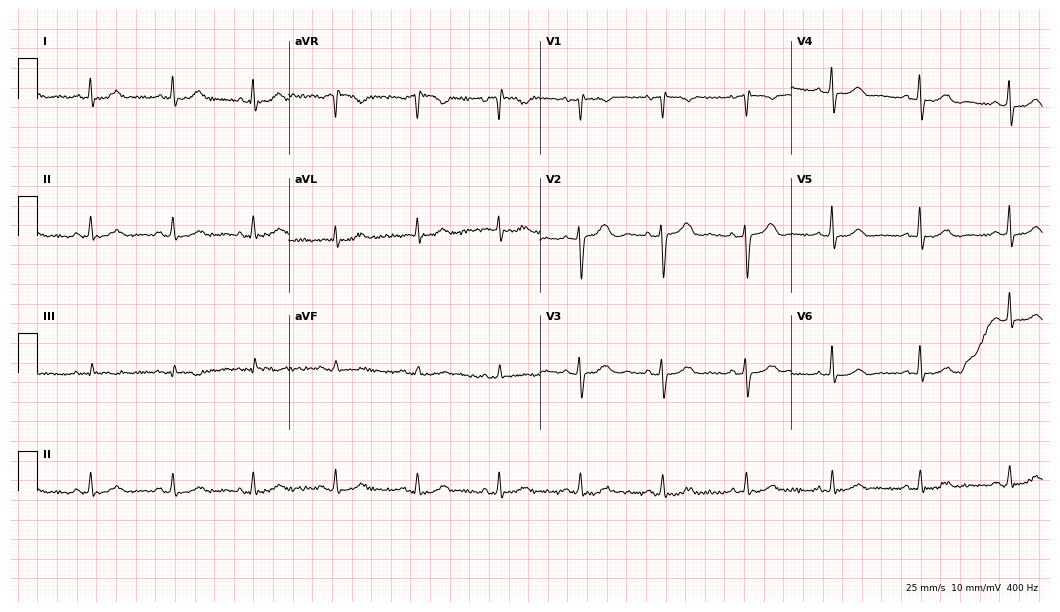
Standard 12-lead ECG recorded from a female patient, 63 years old. Read as a normal ECG.